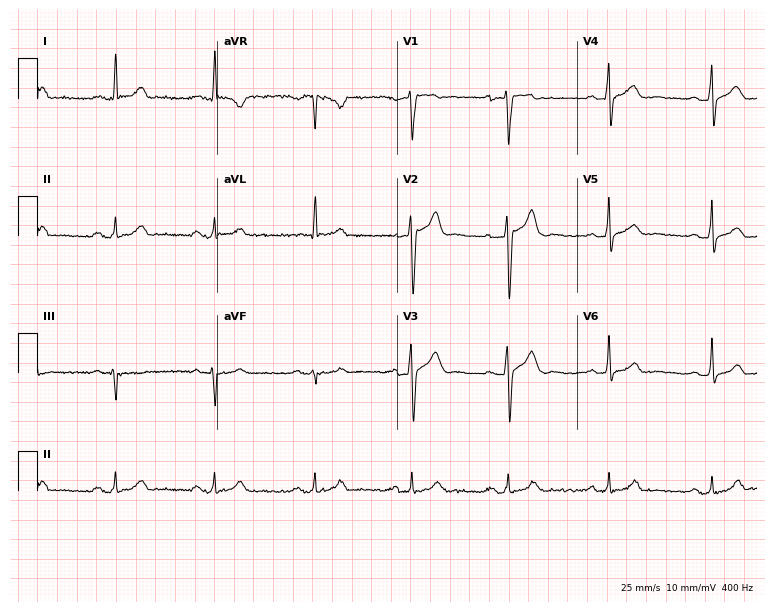
Standard 12-lead ECG recorded from a 37-year-old male (7.3-second recording at 400 Hz). Read as a normal ECG.